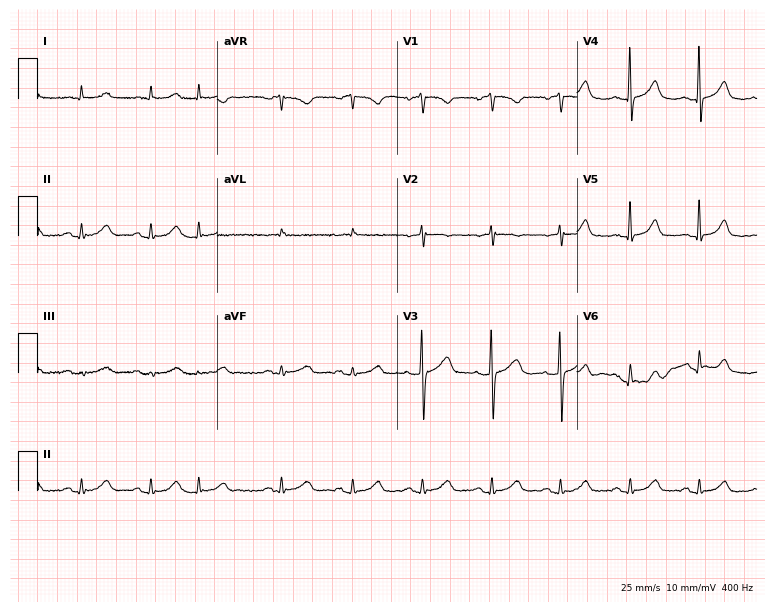
Electrocardiogram, a male, 76 years old. Of the six screened findings (first-degree AV block, right bundle branch block, left bundle branch block, sinus bradycardia, atrial fibrillation, sinus tachycardia), none is recorded. Only these six findings were labelled.